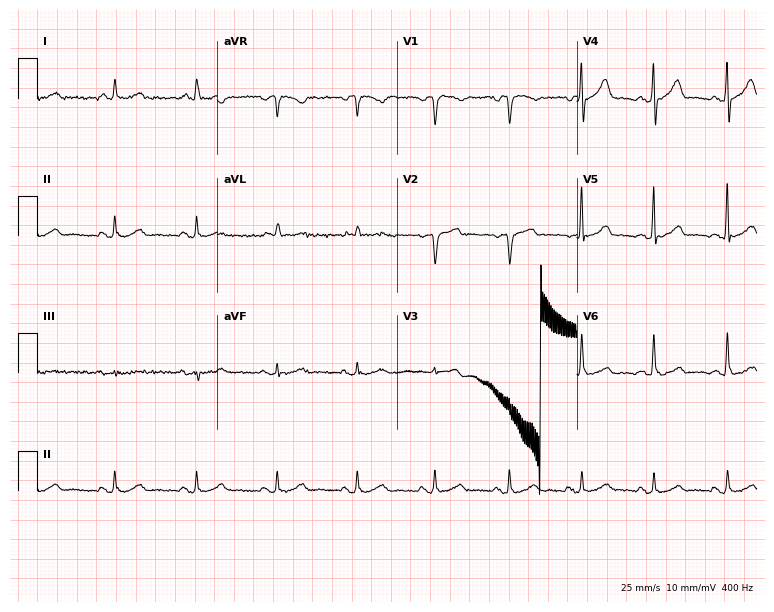
Resting 12-lead electrocardiogram (7.3-second recording at 400 Hz). Patient: a male, 65 years old. None of these six findings is recorded: first-degree AV block, right bundle branch block, left bundle branch block, sinus bradycardia, atrial fibrillation, sinus tachycardia.